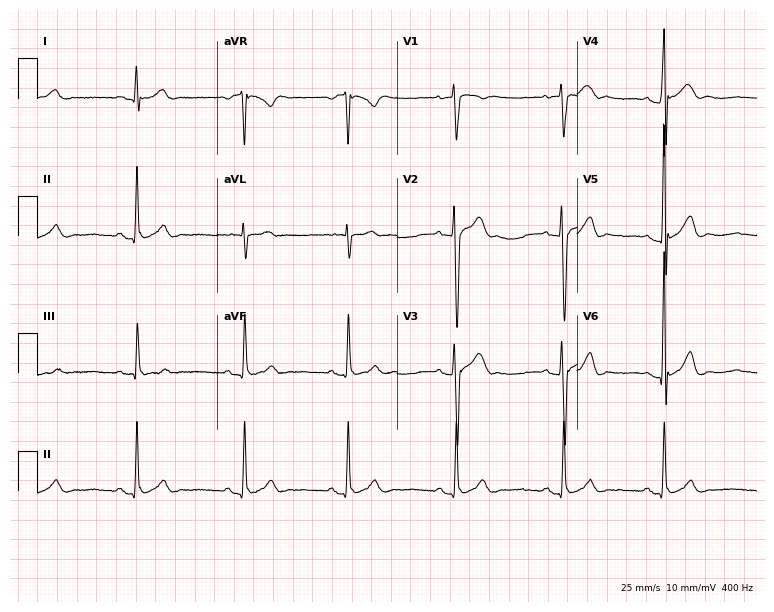
Electrocardiogram, a 19-year-old man. Overall reading on record: normal ECG.